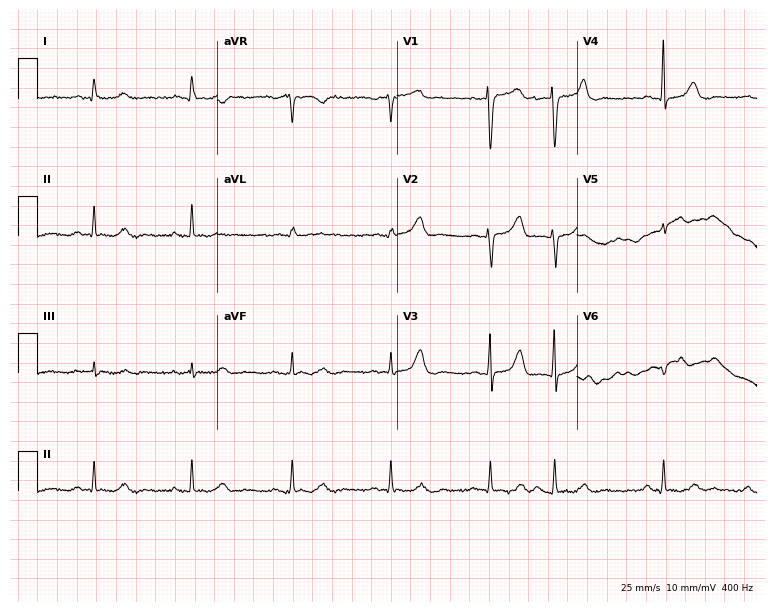
12-lead ECG (7.3-second recording at 400 Hz) from a 56-year-old woman. Screened for six findings — first-degree AV block, right bundle branch block, left bundle branch block, sinus bradycardia, atrial fibrillation, sinus tachycardia — none is recorded.